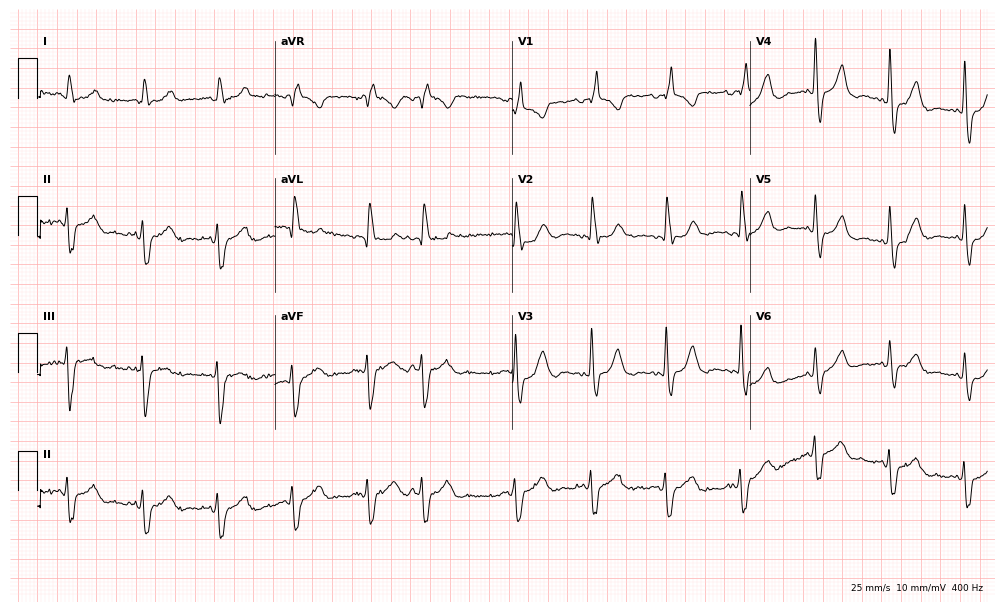
ECG (9.7-second recording at 400 Hz) — a woman, 83 years old. Findings include right bundle branch block (RBBB).